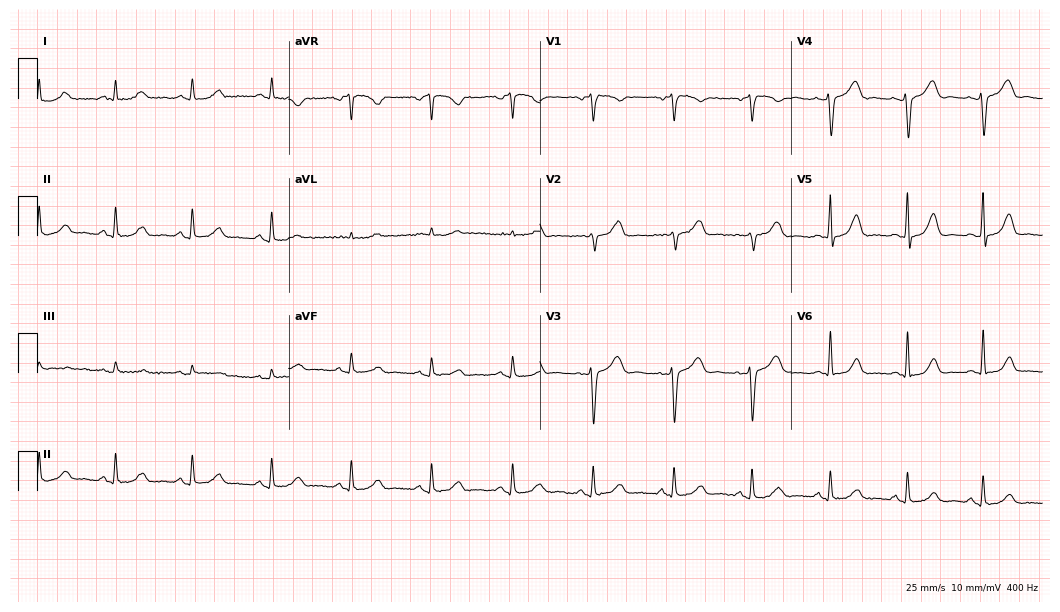
12-lead ECG from a 50-year-old woman. Labelled as a normal ECG.